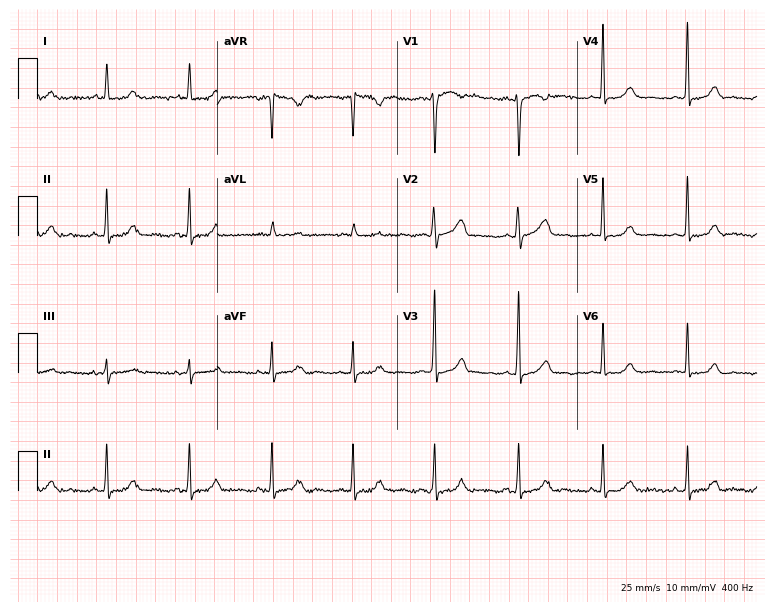
12-lead ECG from a male, 44 years old. No first-degree AV block, right bundle branch block (RBBB), left bundle branch block (LBBB), sinus bradycardia, atrial fibrillation (AF) or sinus tachycardia recorded for this tracing. Only these six findings were labelled.